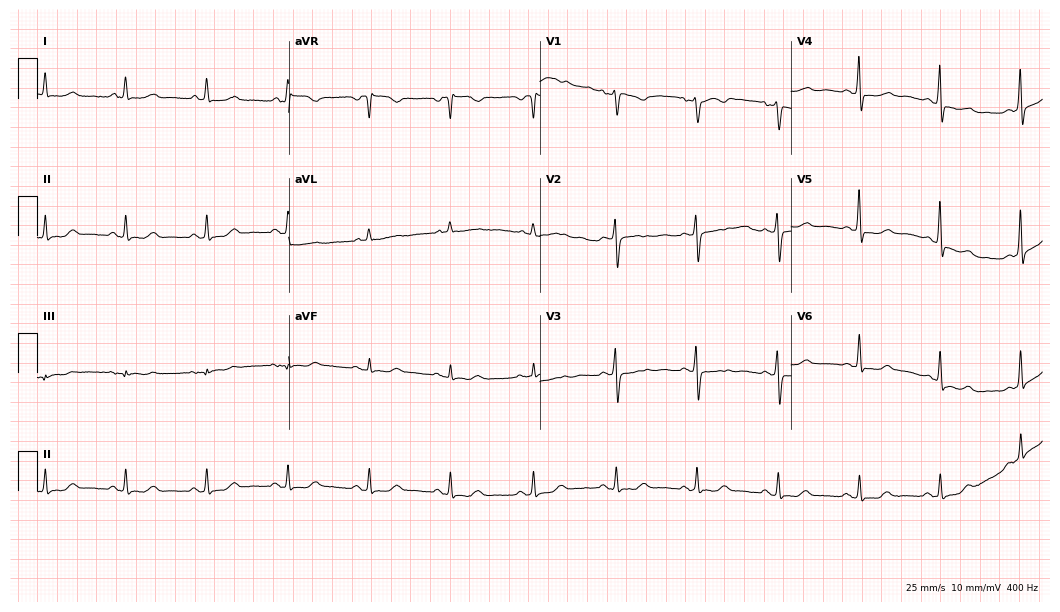
12-lead ECG from a 65-year-old female. No first-degree AV block, right bundle branch block, left bundle branch block, sinus bradycardia, atrial fibrillation or sinus tachycardia recorded for this tracing.